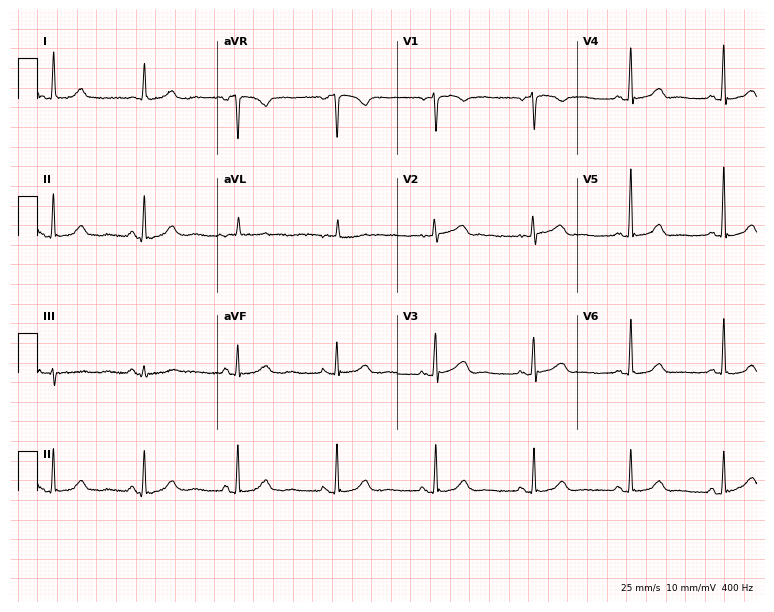
Standard 12-lead ECG recorded from a 67-year-old woman (7.3-second recording at 400 Hz). Read as a normal ECG.